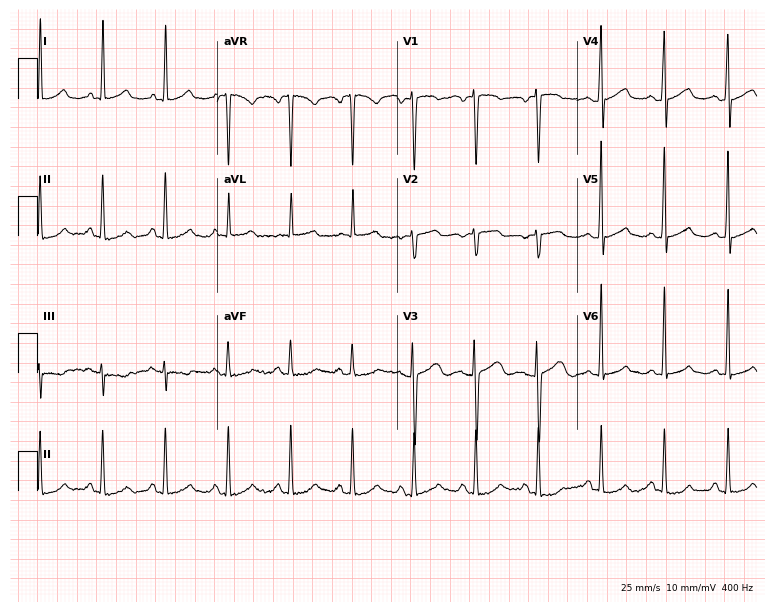
12-lead ECG (7.3-second recording at 400 Hz) from a 42-year-old woman. Screened for six findings — first-degree AV block, right bundle branch block, left bundle branch block, sinus bradycardia, atrial fibrillation, sinus tachycardia — none is recorded. Findings outside these six are not listed.